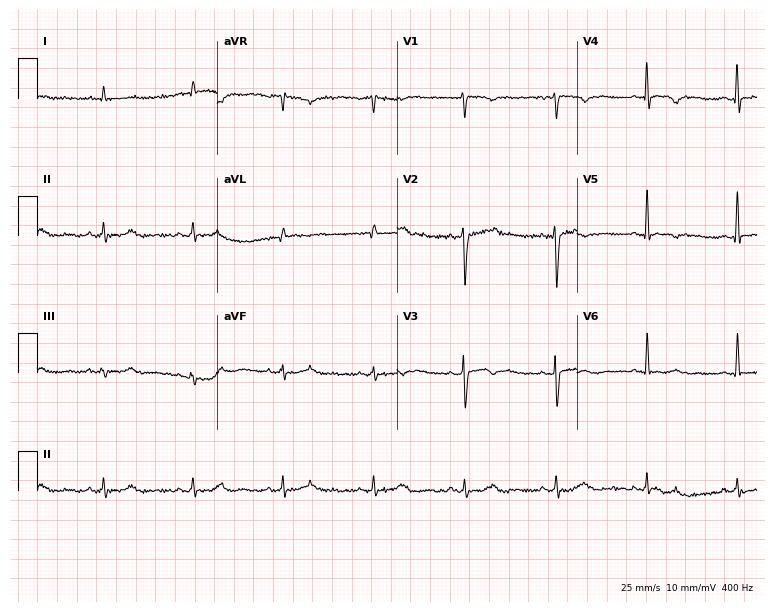
Electrocardiogram, a 40-year-old man. Of the six screened findings (first-degree AV block, right bundle branch block, left bundle branch block, sinus bradycardia, atrial fibrillation, sinus tachycardia), none is recorded.